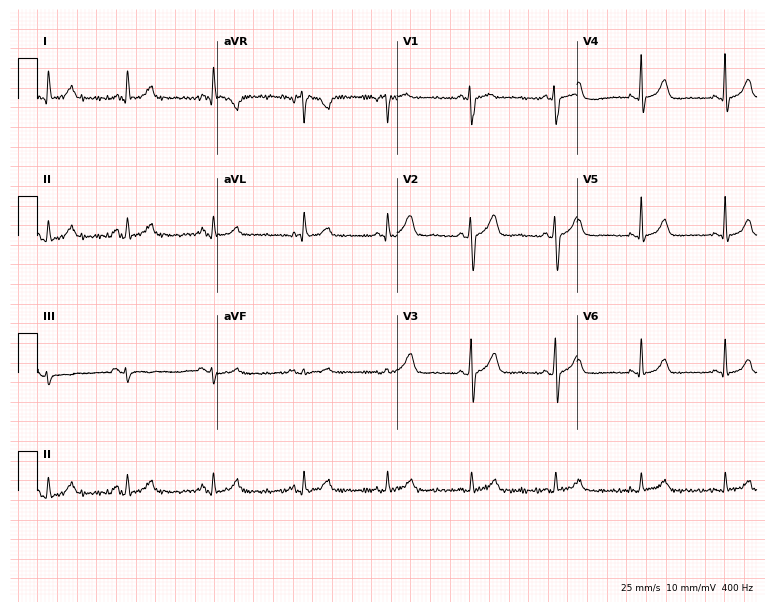
12-lead ECG from a 49-year-old female (7.3-second recording at 400 Hz). Recorded interpretation: within normal limits.